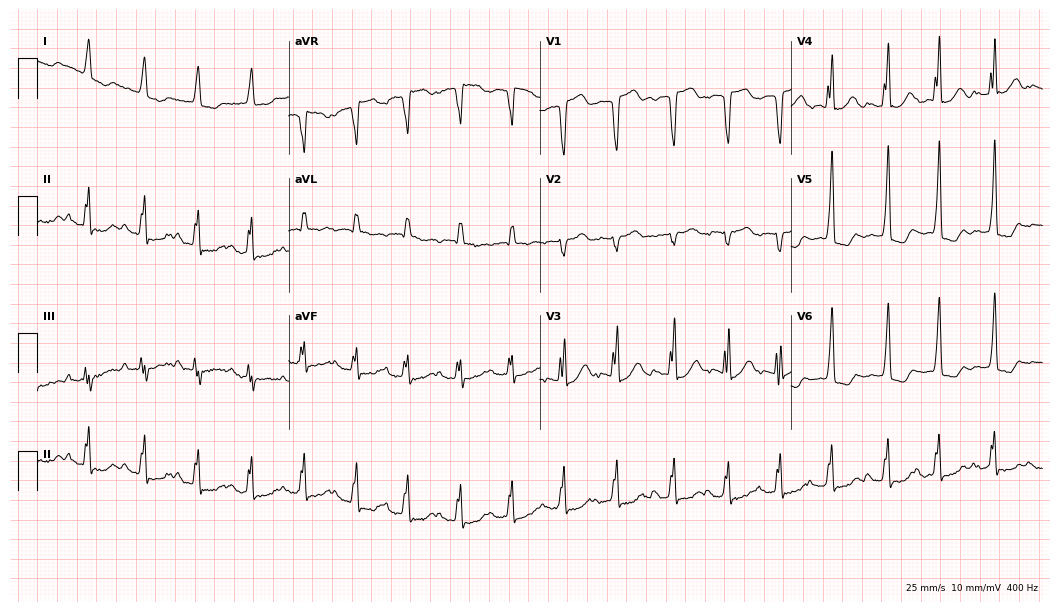
12-lead ECG from a man, 83 years old. No first-degree AV block, right bundle branch block, left bundle branch block, sinus bradycardia, atrial fibrillation or sinus tachycardia recorded for this tracing.